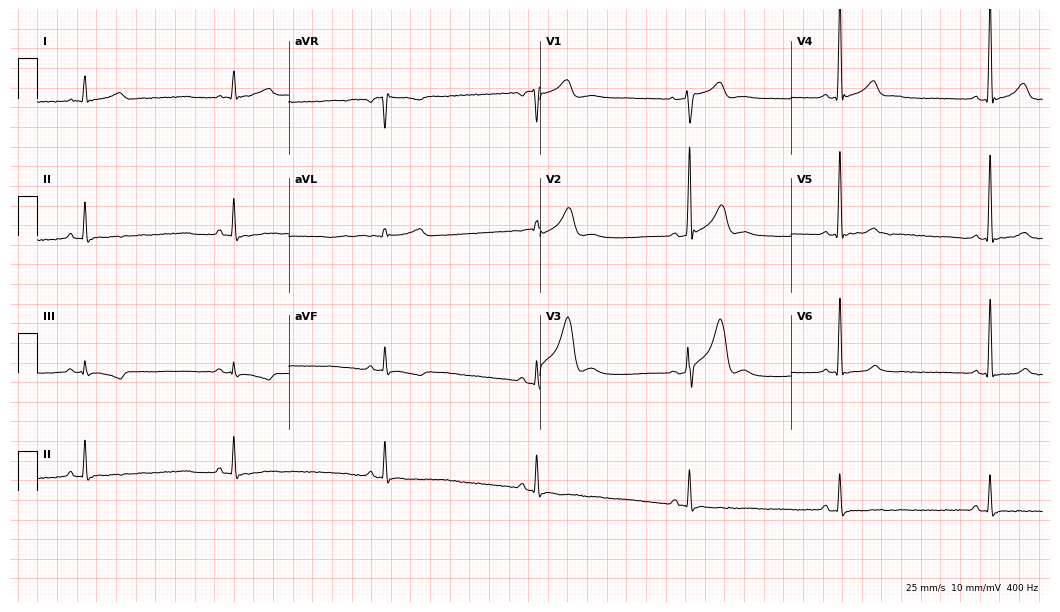
12-lead ECG from a male, 54 years old (10.2-second recording at 400 Hz). Shows sinus bradycardia (a sinus rate of 50 beats per minute or less).